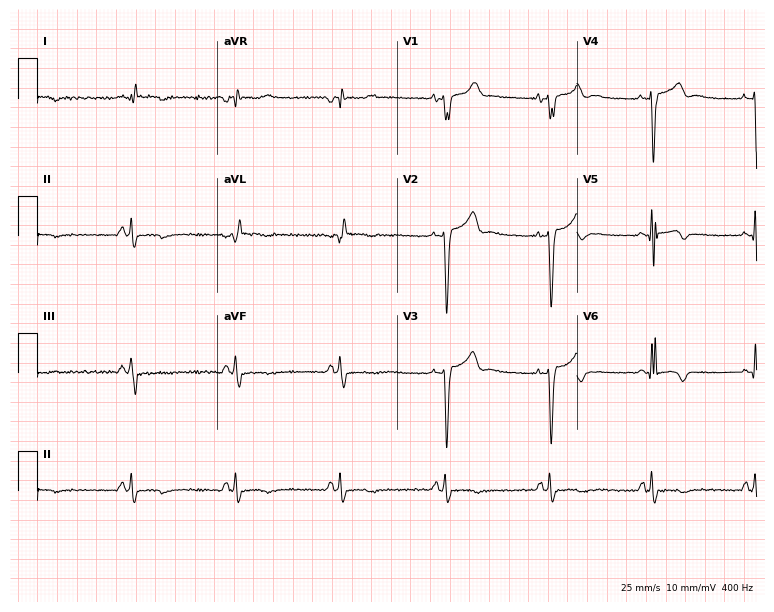
Electrocardiogram, a 47-year-old male. Of the six screened findings (first-degree AV block, right bundle branch block, left bundle branch block, sinus bradycardia, atrial fibrillation, sinus tachycardia), none is recorded.